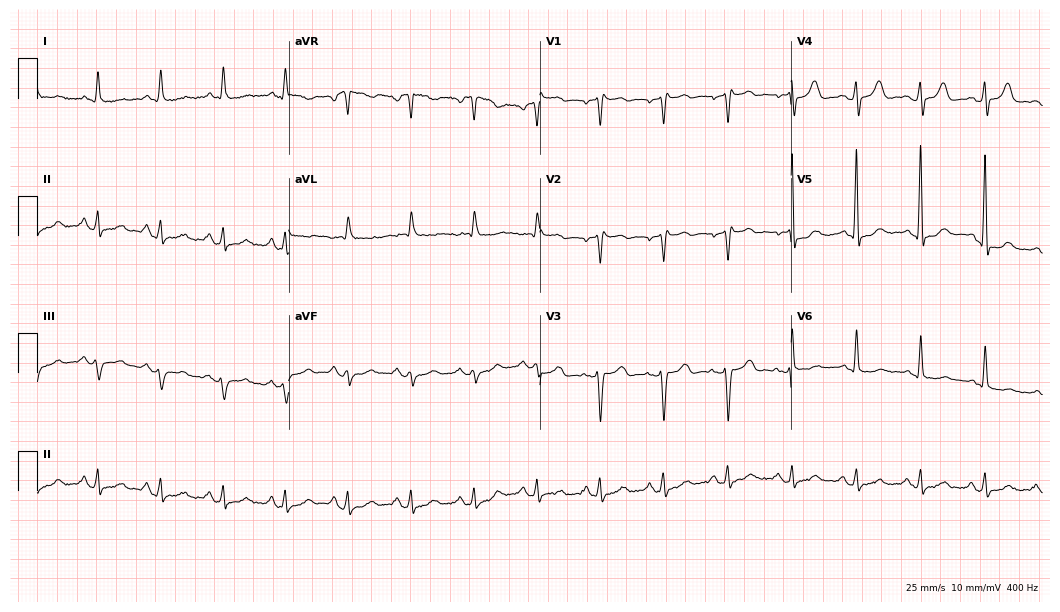
12-lead ECG from an 80-year-old woman. No first-degree AV block, right bundle branch block, left bundle branch block, sinus bradycardia, atrial fibrillation or sinus tachycardia recorded for this tracing. Findings outside these six are not listed.